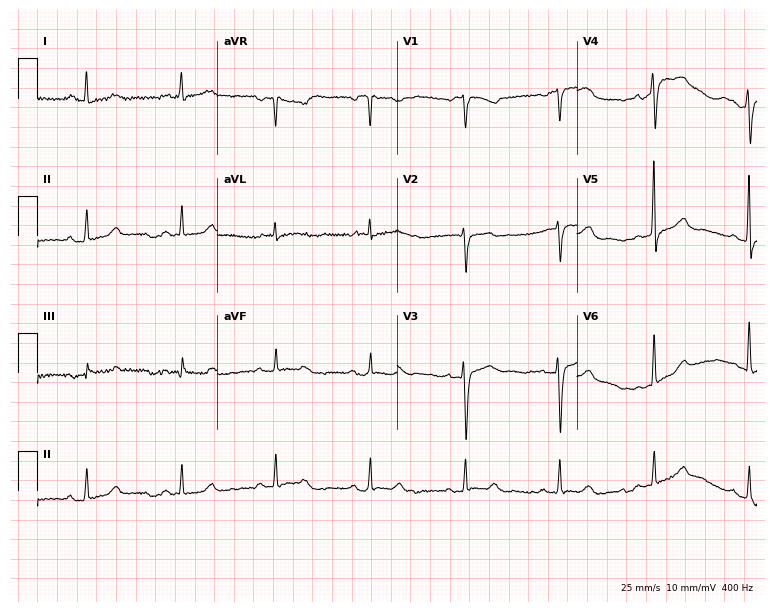
12-lead ECG from a 67-year-old female. No first-degree AV block, right bundle branch block, left bundle branch block, sinus bradycardia, atrial fibrillation or sinus tachycardia recorded for this tracing. Other findings, if any, are not listed.